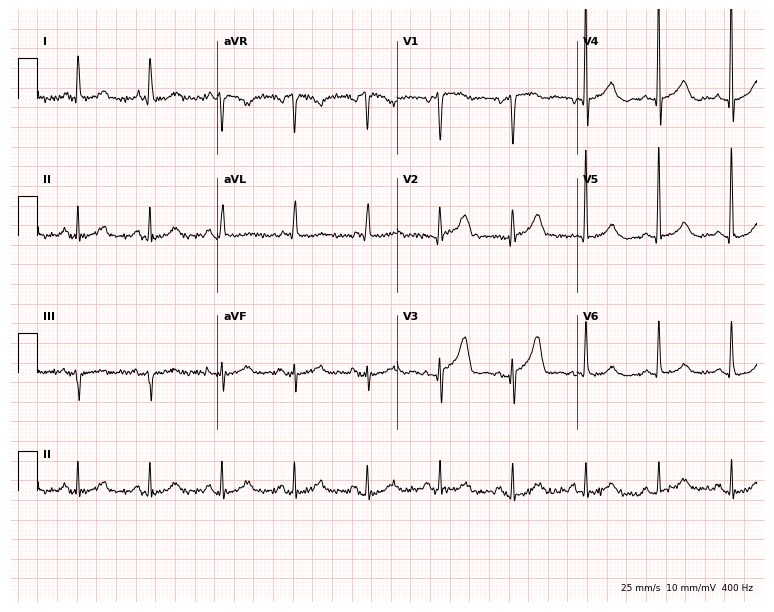
ECG (7.3-second recording at 400 Hz) — a woman, 80 years old. Screened for six findings — first-degree AV block, right bundle branch block (RBBB), left bundle branch block (LBBB), sinus bradycardia, atrial fibrillation (AF), sinus tachycardia — none is recorded.